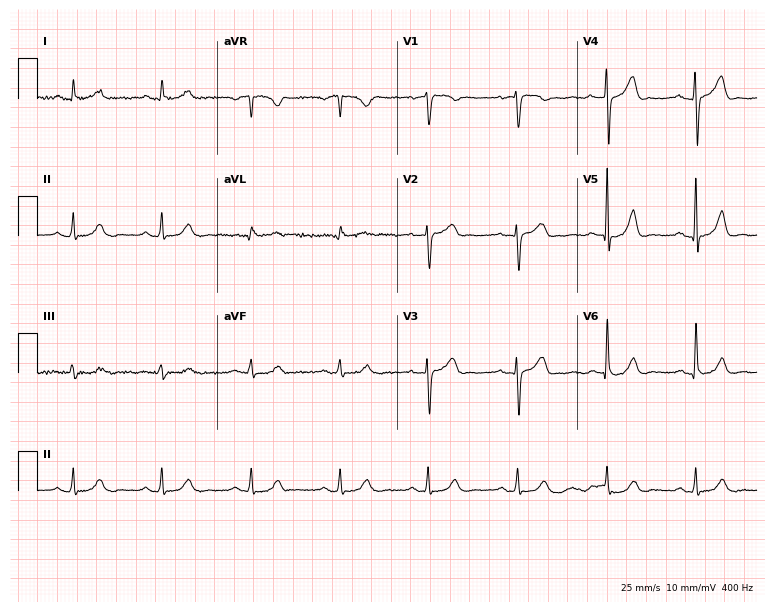
12-lead ECG from a 54-year-old man. Labelled as a normal ECG.